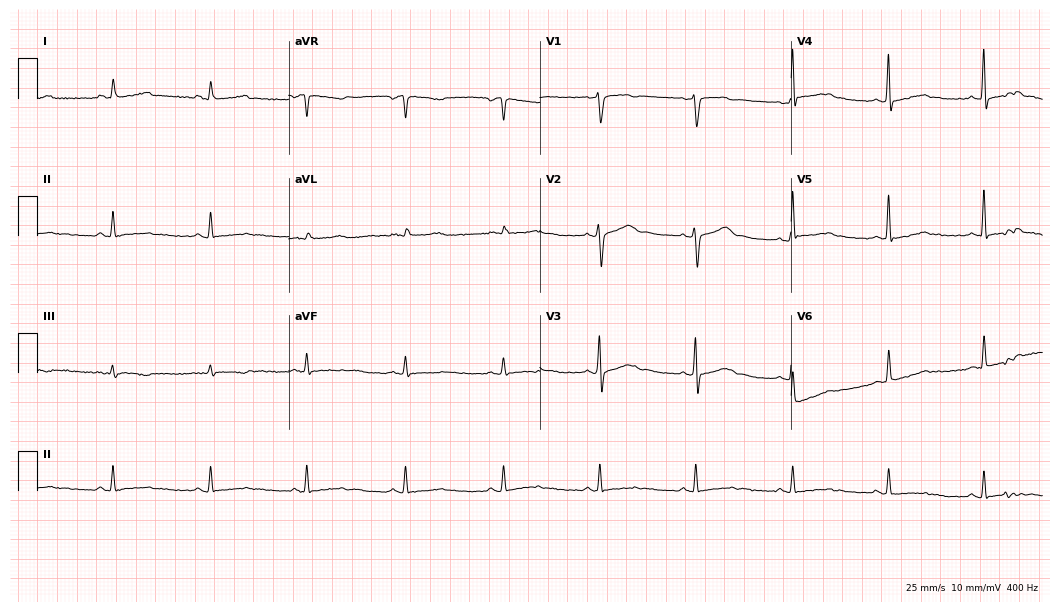
12-lead ECG from a 64-year-old male. No first-degree AV block, right bundle branch block, left bundle branch block, sinus bradycardia, atrial fibrillation or sinus tachycardia recorded for this tracing. Other findings, if any, are not listed.